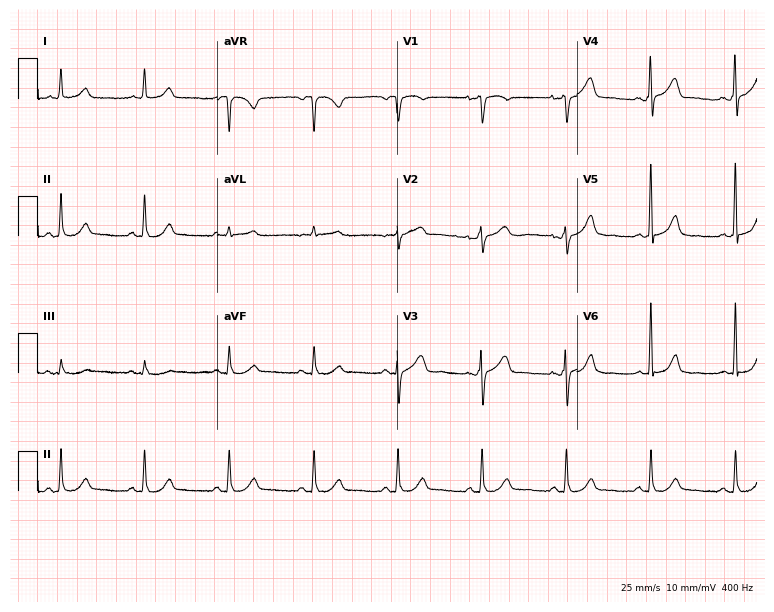
Standard 12-lead ECG recorded from a male, 76 years old. None of these six findings is recorded: first-degree AV block, right bundle branch block, left bundle branch block, sinus bradycardia, atrial fibrillation, sinus tachycardia.